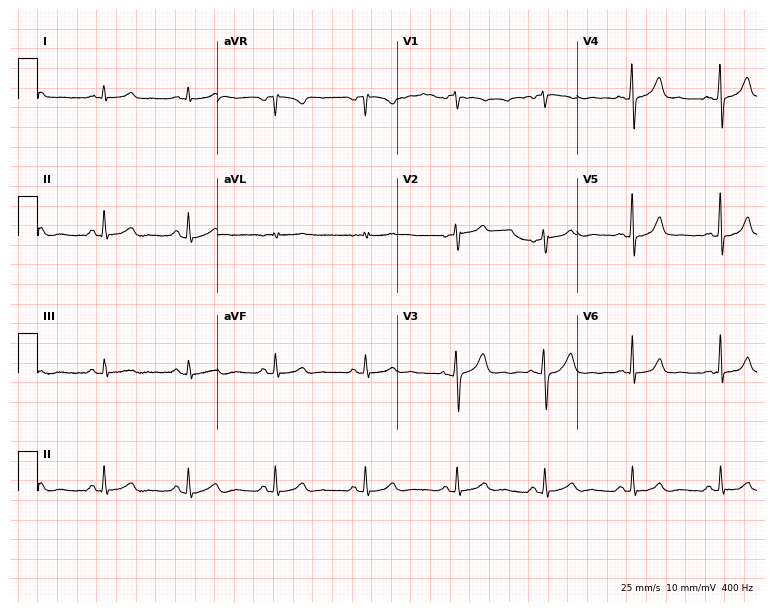
Resting 12-lead electrocardiogram. Patient: a 58-year-old male. Read as a normal ECG.